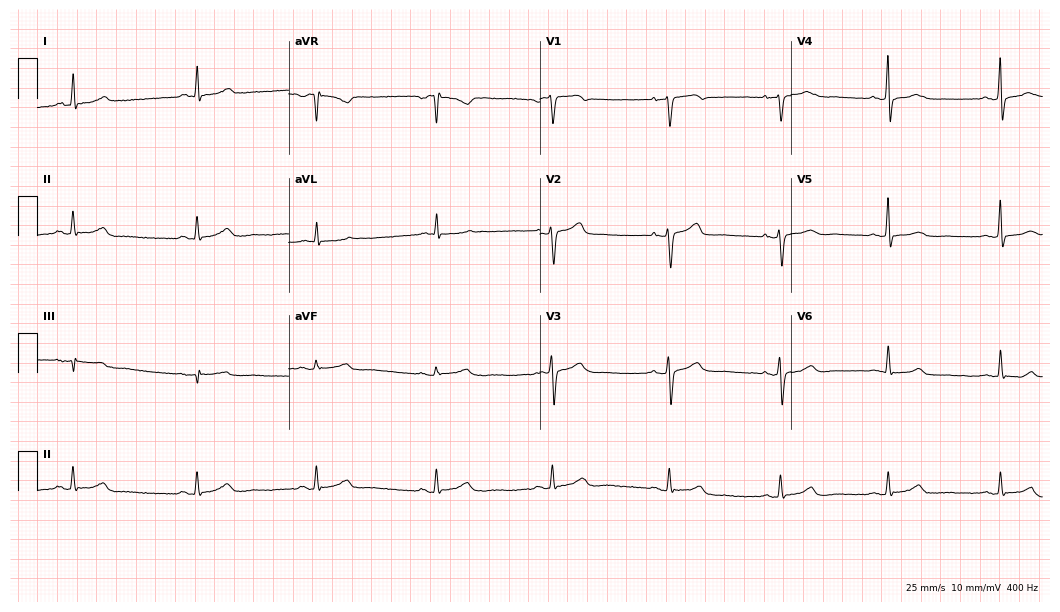
12-lead ECG from a female patient, 48 years old (10.2-second recording at 400 Hz). No first-degree AV block, right bundle branch block (RBBB), left bundle branch block (LBBB), sinus bradycardia, atrial fibrillation (AF) or sinus tachycardia recorded for this tracing. Findings outside these six are not listed.